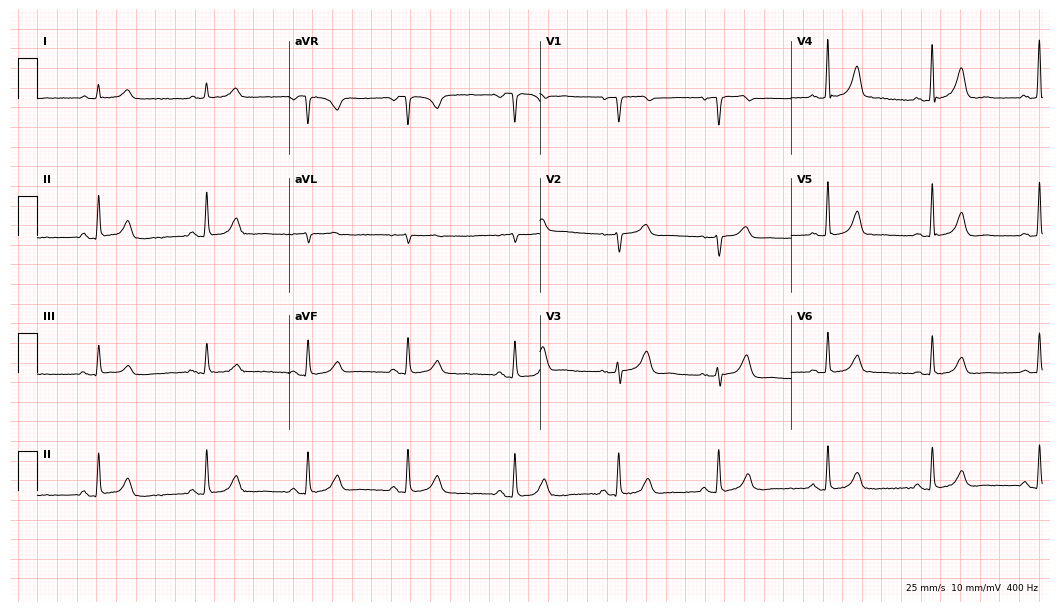
12-lead ECG (10.2-second recording at 400 Hz) from a 57-year-old woman. Labelled as a normal ECG.